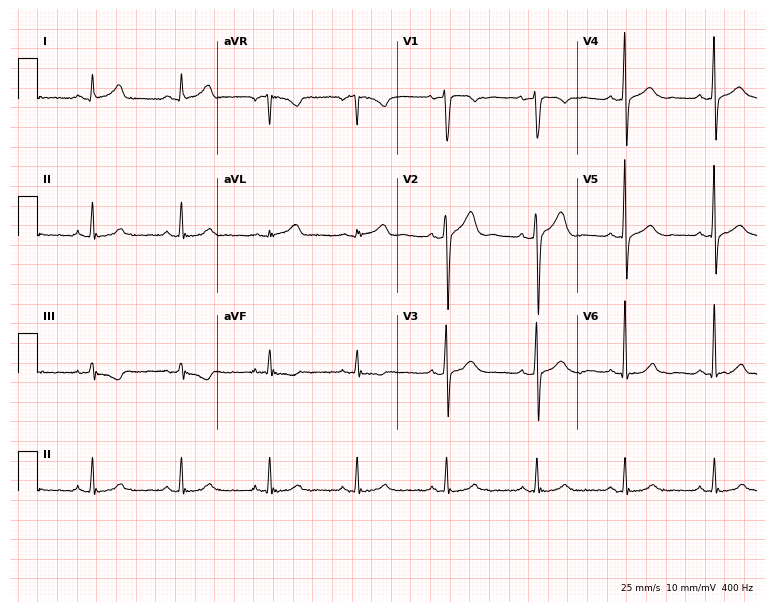
Electrocardiogram, a male, 33 years old. Overall reading on record: normal ECG.